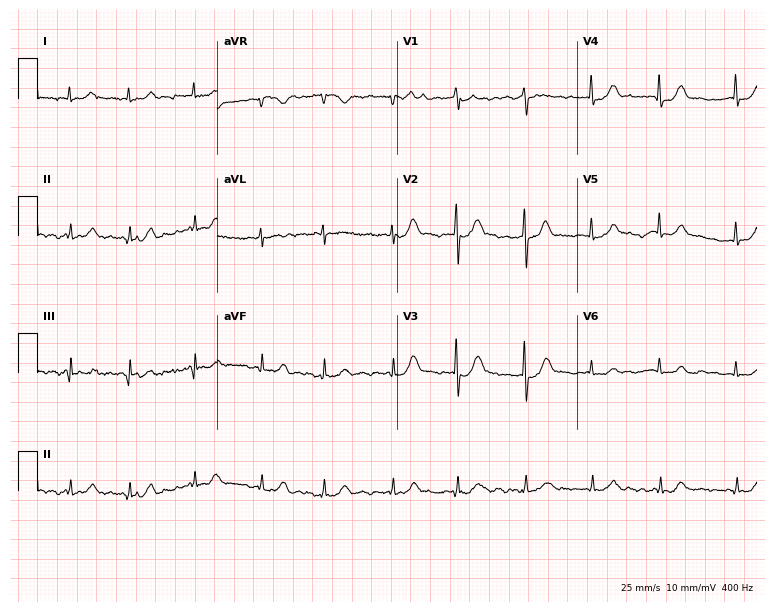
Resting 12-lead electrocardiogram. Patient: a man, 22 years old. None of these six findings is recorded: first-degree AV block, right bundle branch block, left bundle branch block, sinus bradycardia, atrial fibrillation, sinus tachycardia.